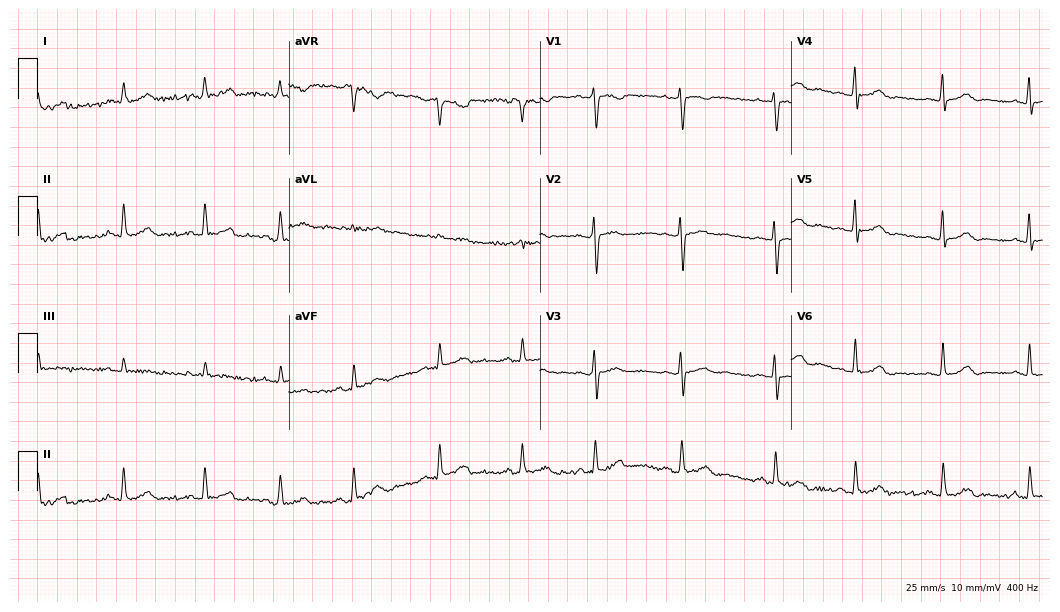
ECG (10.2-second recording at 400 Hz) — a 29-year-old female. Labelled as a normal ECG.